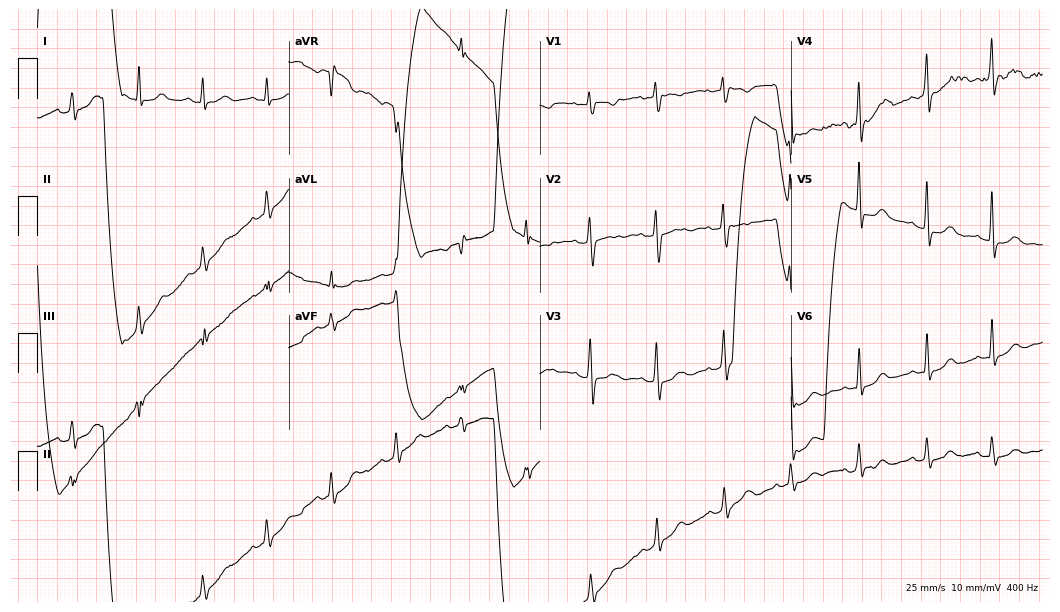
ECG — a woman, 34 years old. Screened for six findings — first-degree AV block, right bundle branch block, left bundle branch block, sinus bradycardia, atrial fibrillation, sinus tachycardia — none is recorded. Findings outside these six are not listed.